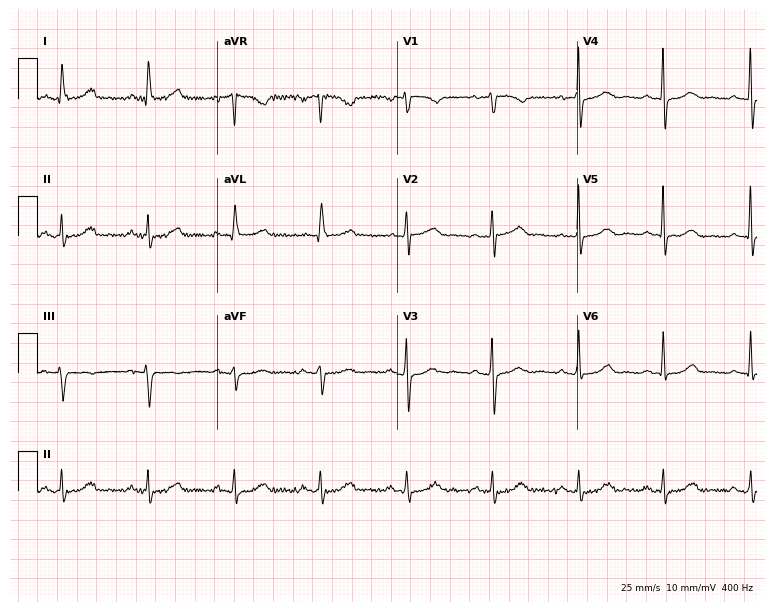
ECG — a 63-year-old female patient. Labelled as a normal ECG.